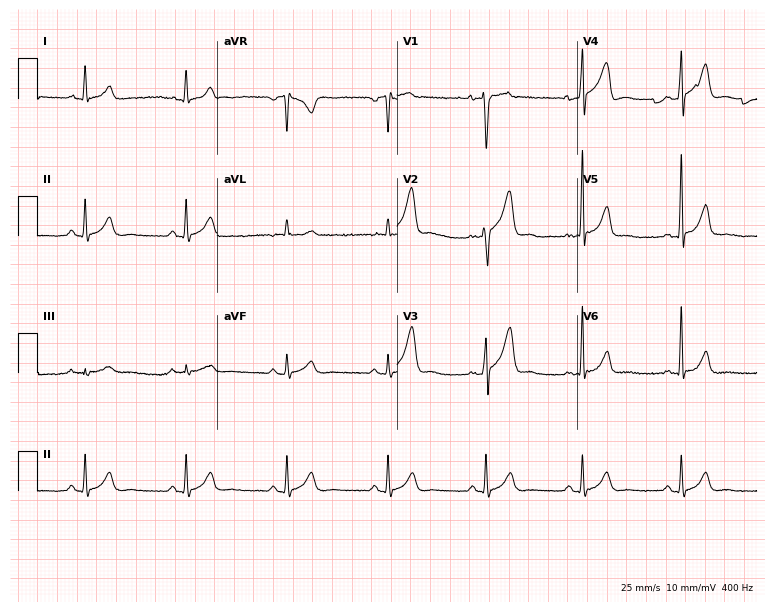
ECG (7.3-second recording at 400 Hz) — a 35-year-old male. Screened for six findings — first-degree AV block, right bundle branch block, left bundle branch block, sinus bradycardia, atrial fibrillation, sinus tachycardia — none is recorded. Findings outside these six are not listed.